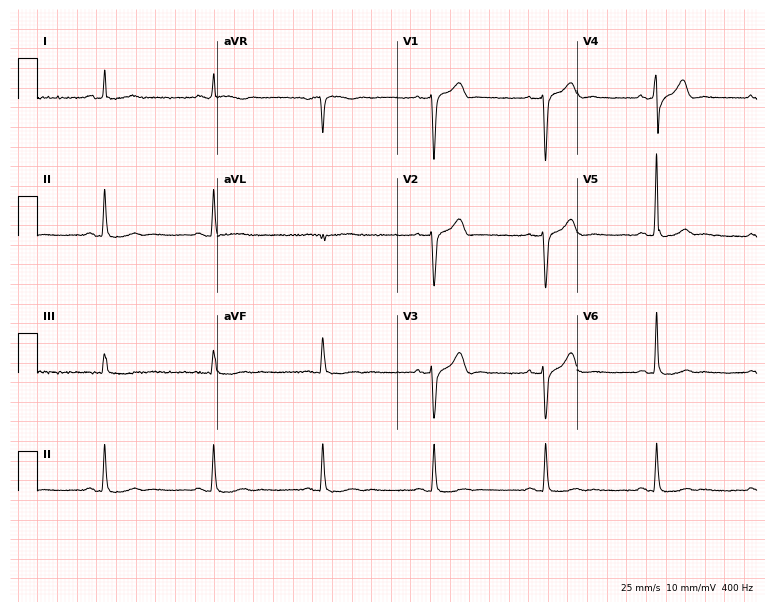
12-lead ECG from a 64-year-old male patient. Screened for six findings — first-degree AV block, right bundle branch block, left bundle branch block, sinus bradycardia, atrial fibrillation, sinus tachycardia — none is recorded.